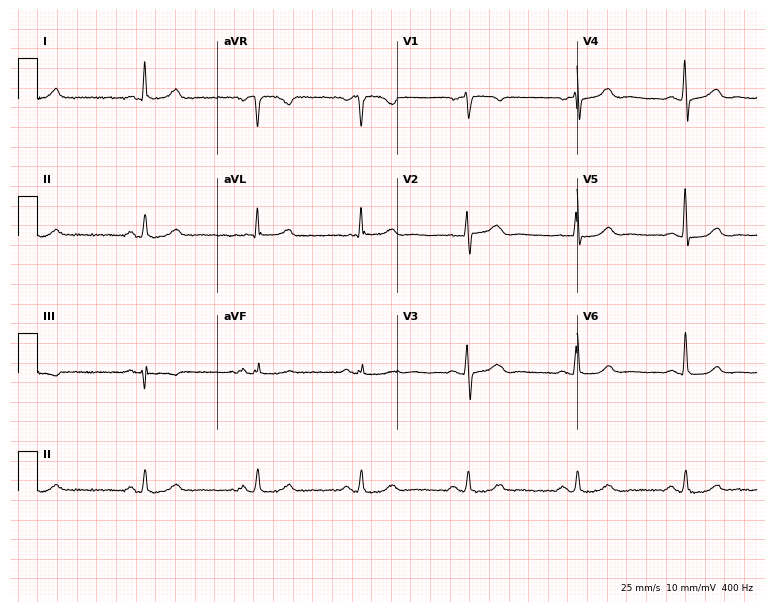
12-lead ECG from a 78-year-old woman. Recorded interpretation: within normal limits.